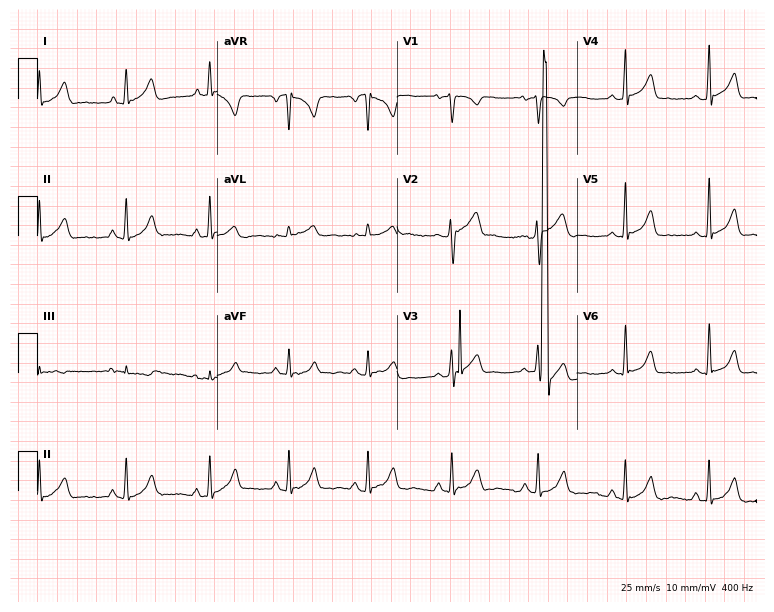
ECG — a 27-year-old woman. Screened for six findings — first-degree AV block, right bundle branch block, left bundle branch block, sinus bradycardia, atrial fibrillation, sinus tachycardia — none is recorded.